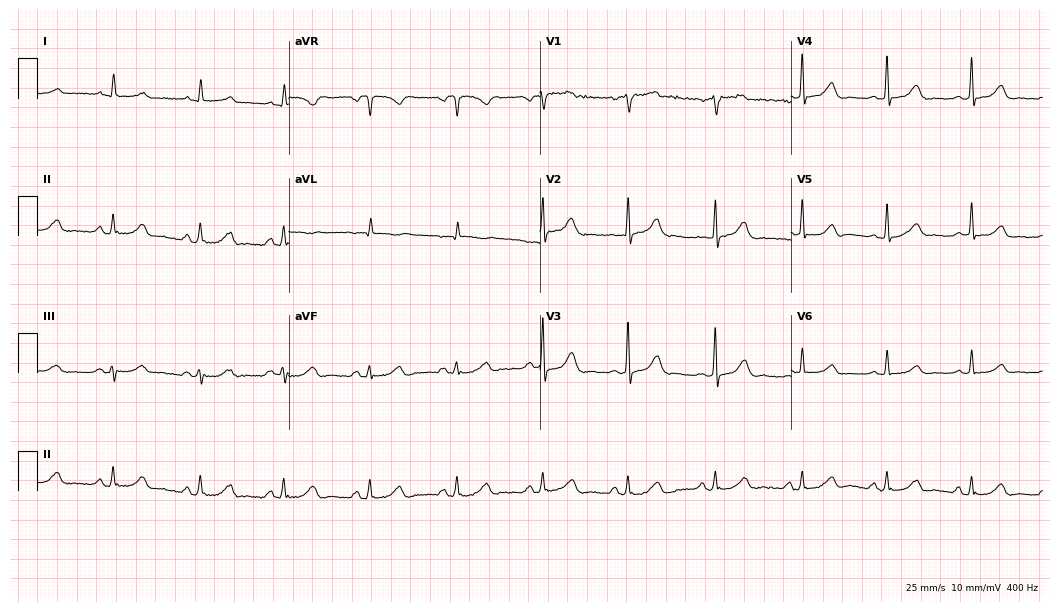
Standard 12-lead ECG recorded from a female patient, 65 years old. Read as a normal ECG.